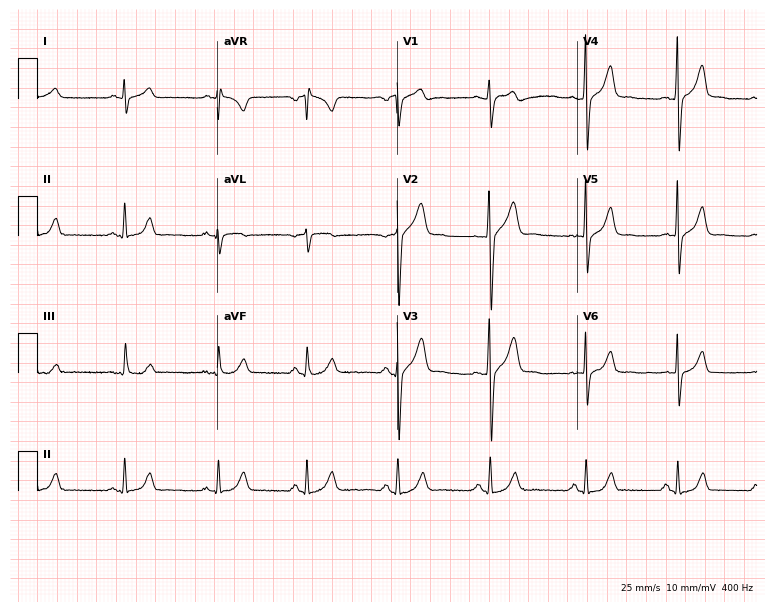
12-lead ECG from a 41-year-old male. Recorded interpretation: within normal limits.